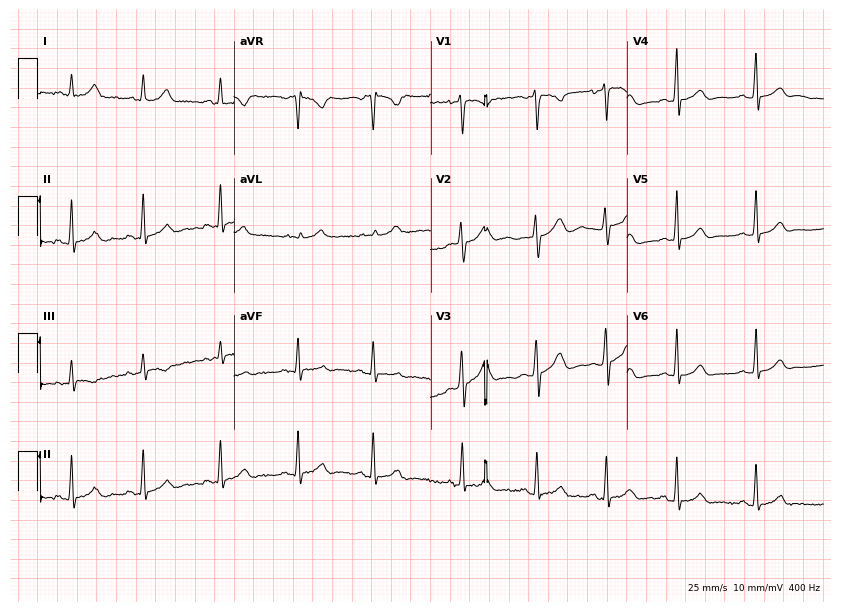
Standard 12-lead ECG recorded from a 21-year-old woman. Read as a normal ECG.